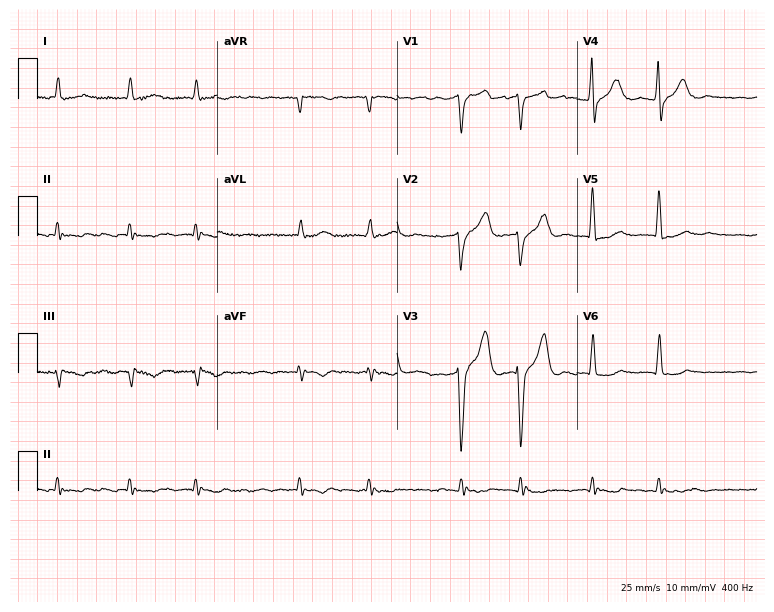
12-lead ECG from a 68-year-old male patient (7.3-second recording at 400 Hz). Shows atrial fibrillation.